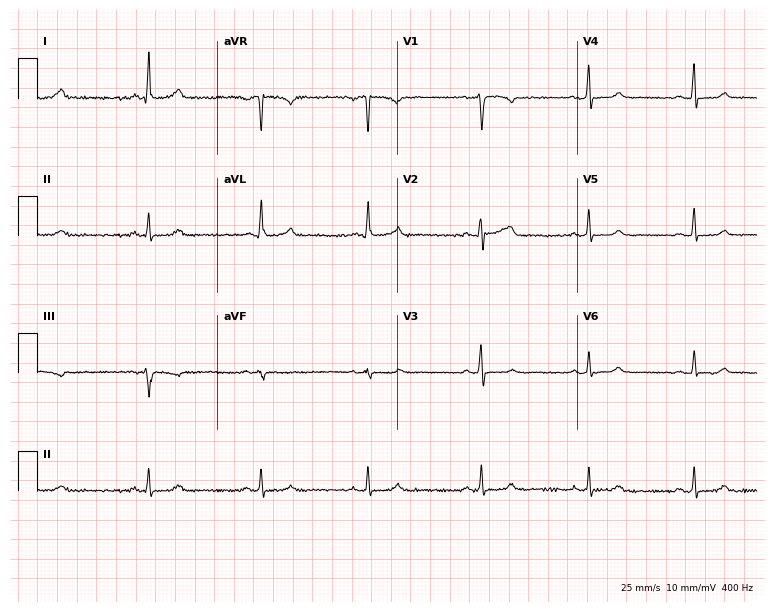
Electrocardiogram, a 47-year-old female. Overall reading on record: normal ECG.